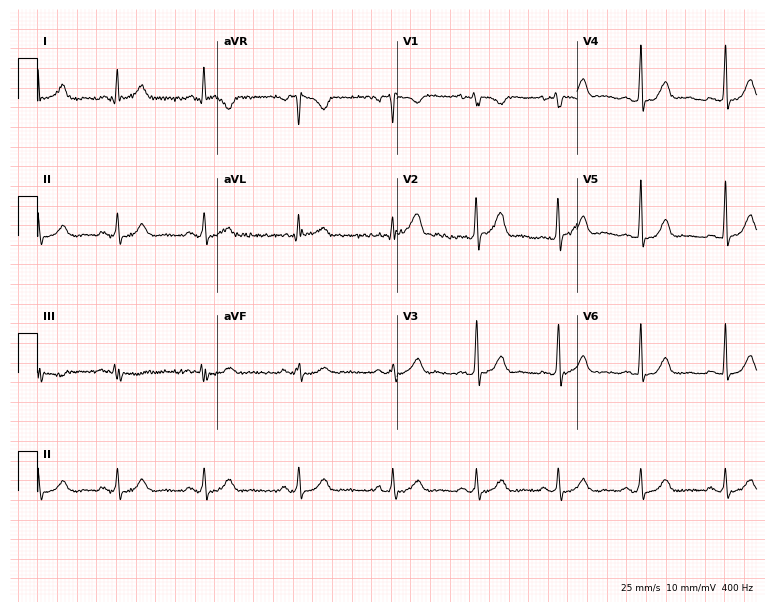
Standard 12-lead ECG recorded from a 37-year-old woman. Read as a normal ECG.